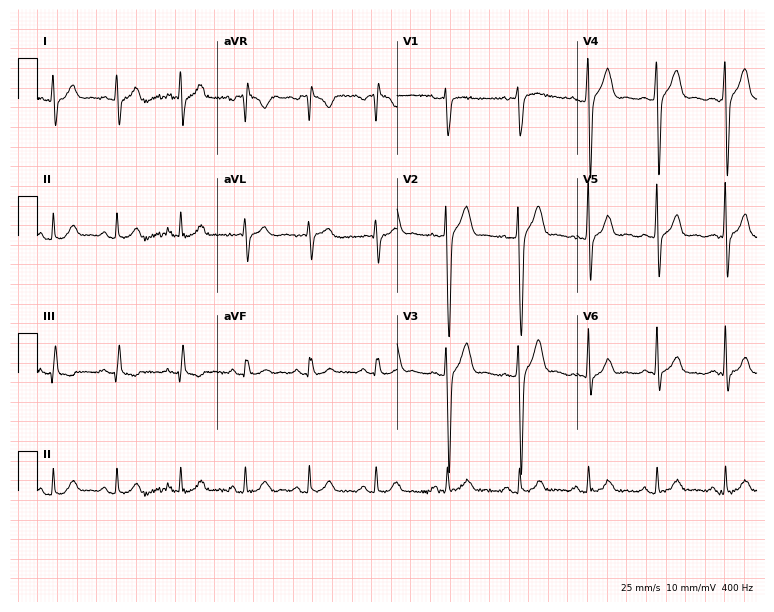
Electrocardiogram, a male patient, 32 years old. Of the six screened findings (first-degree AV block, right bundle branch block (RBBB), left bundle branch block (LBBB), sinus bradycardia, atrial fibrillation (AF), sinus tachycardia), none is recorded. Other findings, if any, are not listed.